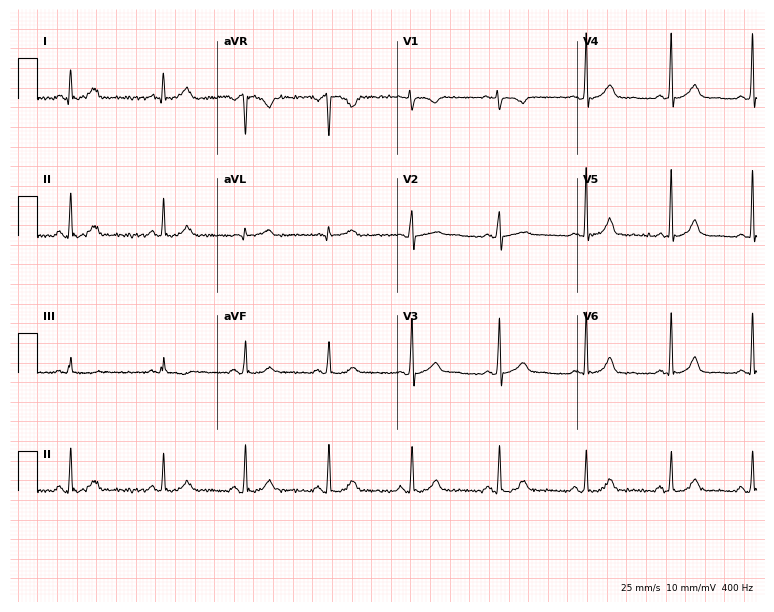
12-lead ECG (7.3-second recording at 400 Hz) from a 33-year-old female patient. Labelled as a normal ECG.